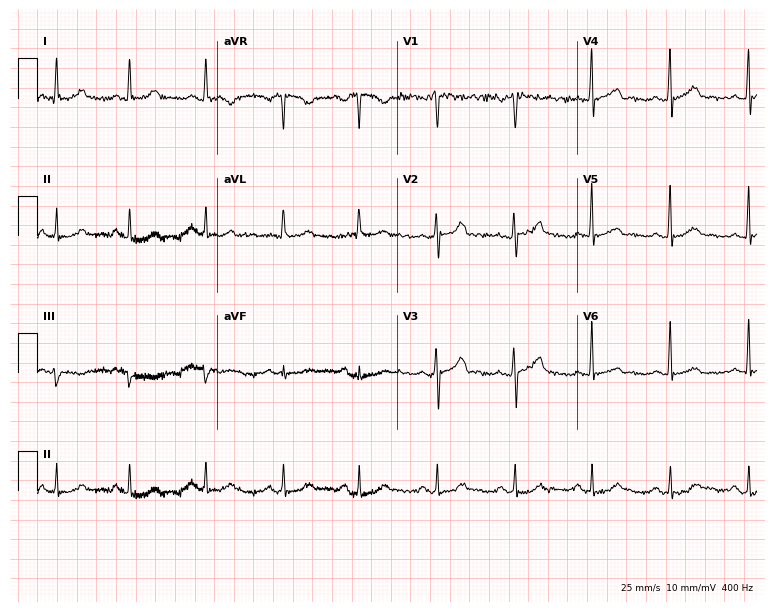
12-lead ECG from a man, 40 years old. Screened for six findings — first-degree AV block, right bundle branch block, left bundle branch block, sinus bradycardia, atrial fibrillation, sinus tachycardia — none is recorded. Other findings, if any, are not listed.